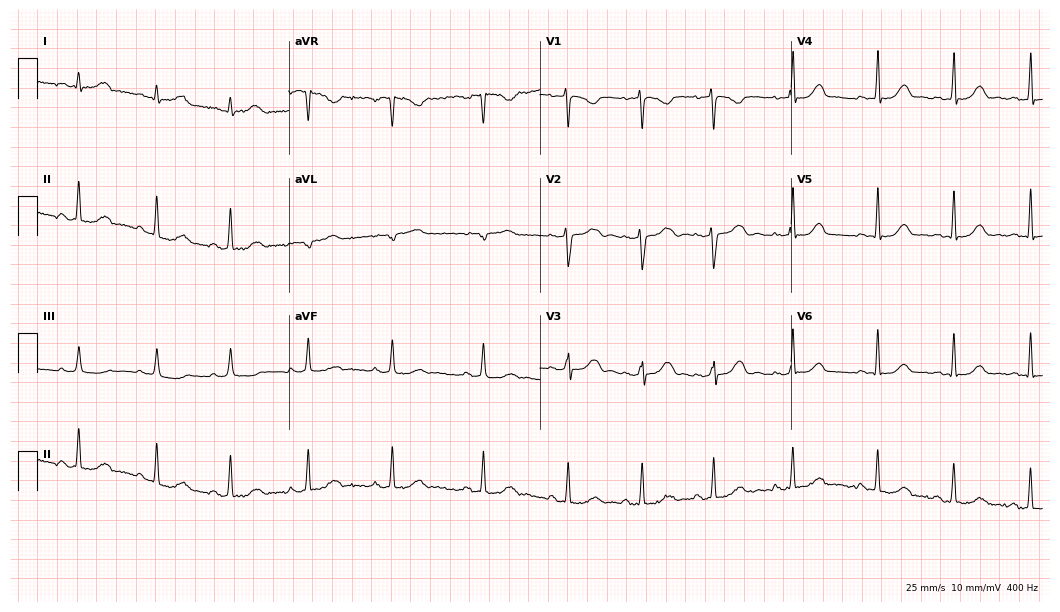
Electrocardiogram, a 27-year-old female patient. Overall reading on record: normal ECG.